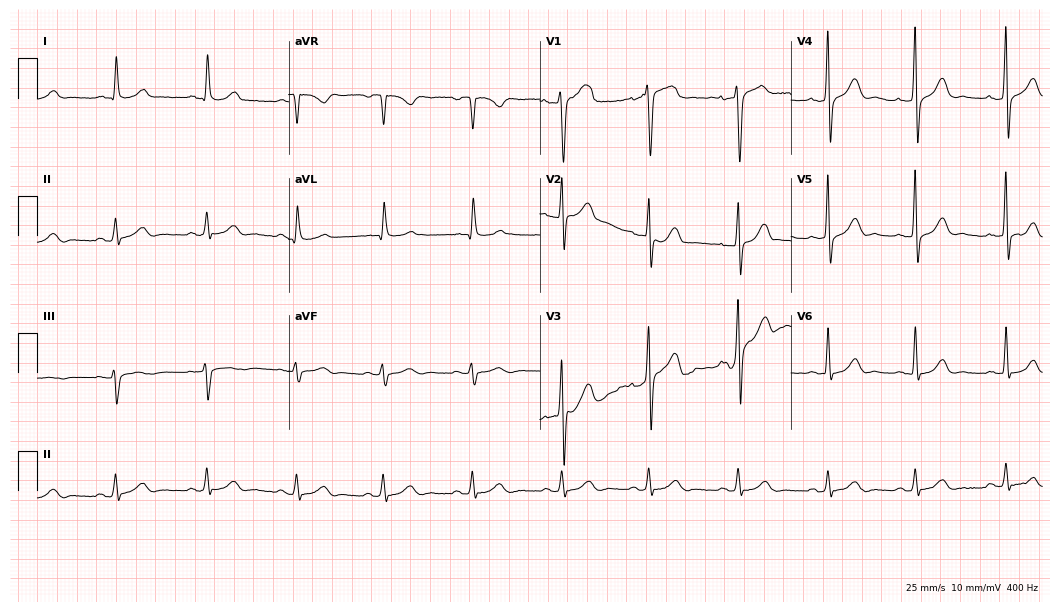
Standard 12-lead ECG recorded from a man, 50 years old (10.2-second recording at 400 Hz). Read as a normal ECG.